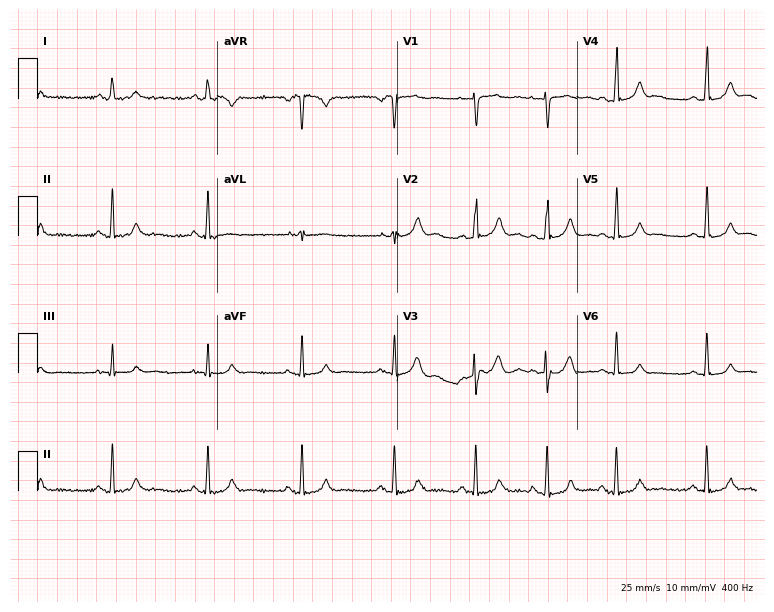
Standard 12-lead ECG recorded from a 24-year-old female (7.3-second recording at 400 Hz). Read as a normal ECG.